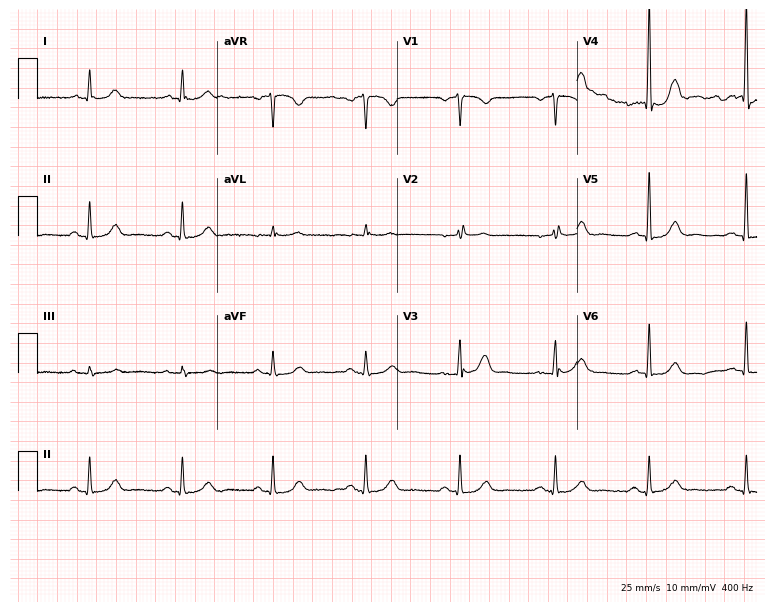
12-lead ECG (7.3-second recording at 400 Hz) from a man, 68 years old. Labelled as a normal ECG.